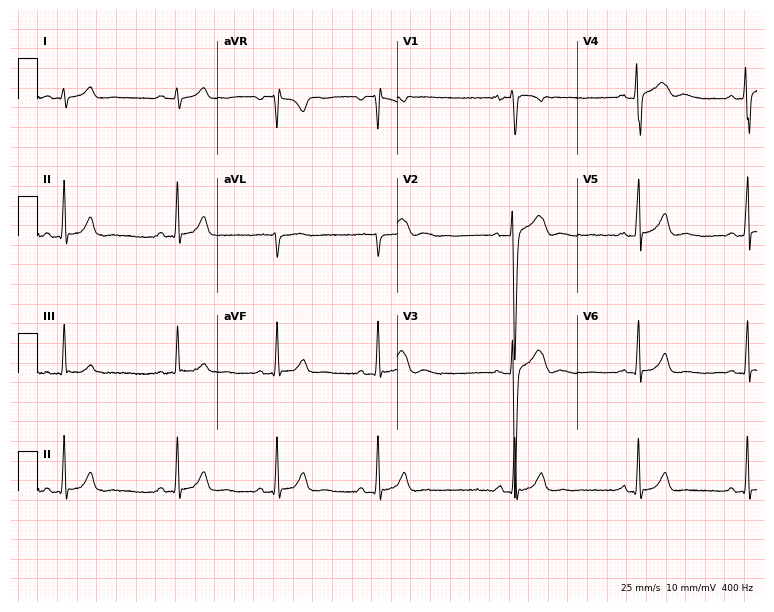
Resting 12-lead electrocardiogram (7.3-second recording at 400 Hz). Patient: a male, 17 years old. None of these six findings is recorded: first-degree AV block, right bundle branch block (RBBB), left bundle branch block (LBBB), sinus bradycardia, atrial fibrillation (AF), sinus tachycardia.